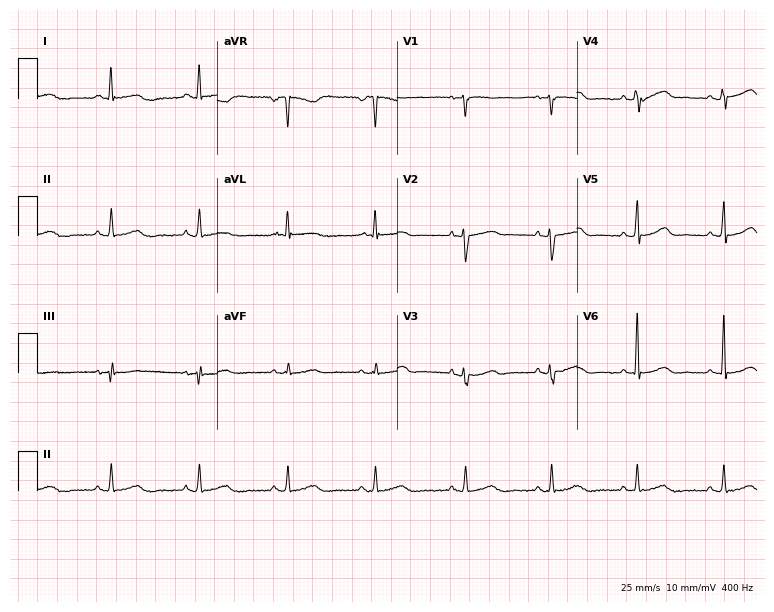
12-lead ECG from a female patient, 56 years old. Screened for six findings — first-degree AV block, right bundle branch block, left bundle branch block, sinus bradycardia, atrial fibrillation, sinus tachycardia — none is recorded.